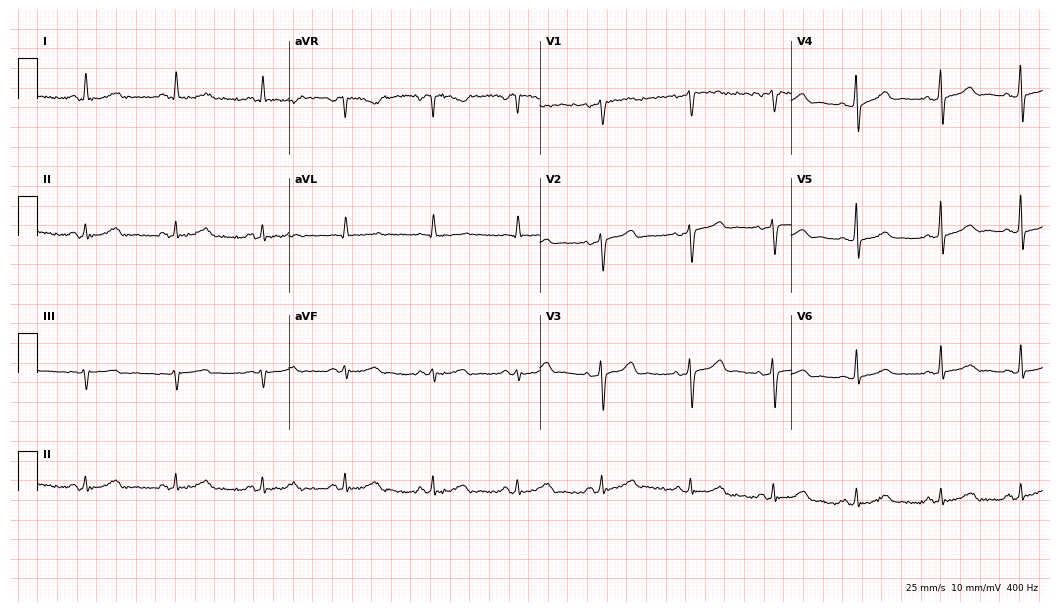
Resting 12-lead electrocardiogram (10.2-second recording at 400 Hz). Patient: a female, 49 years old. Read as a normal ECG.